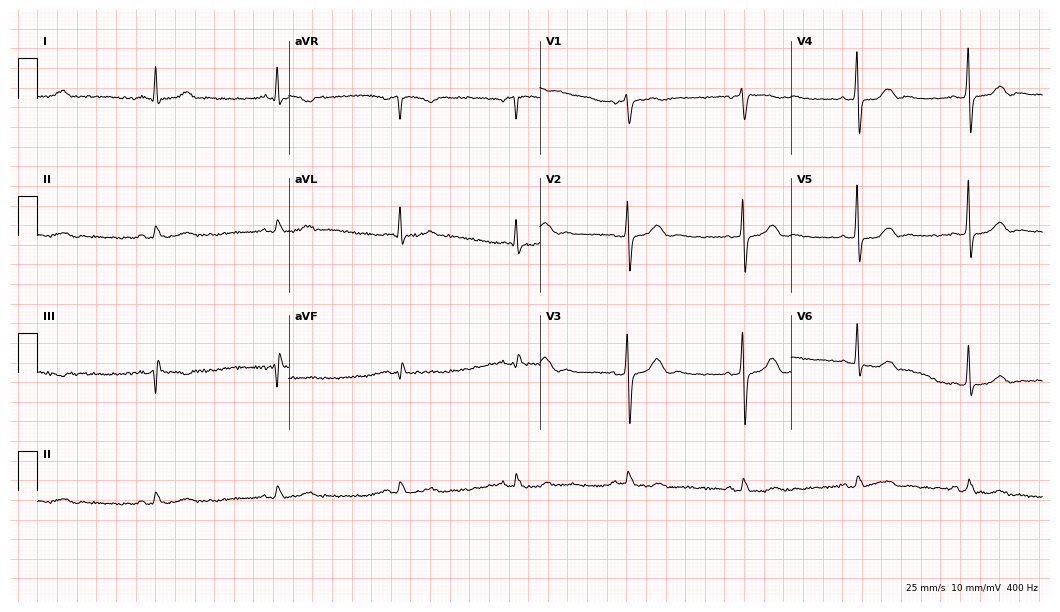
Electrocardiogram, a 65-year-old man. Of the six screened findings (first-degree AV block, right bundle branch block (RBBB), left bundle branch block (LBBB), sinus bradycardia, atrial fibrillation (AF), sinus tachycardia), none is recorded.